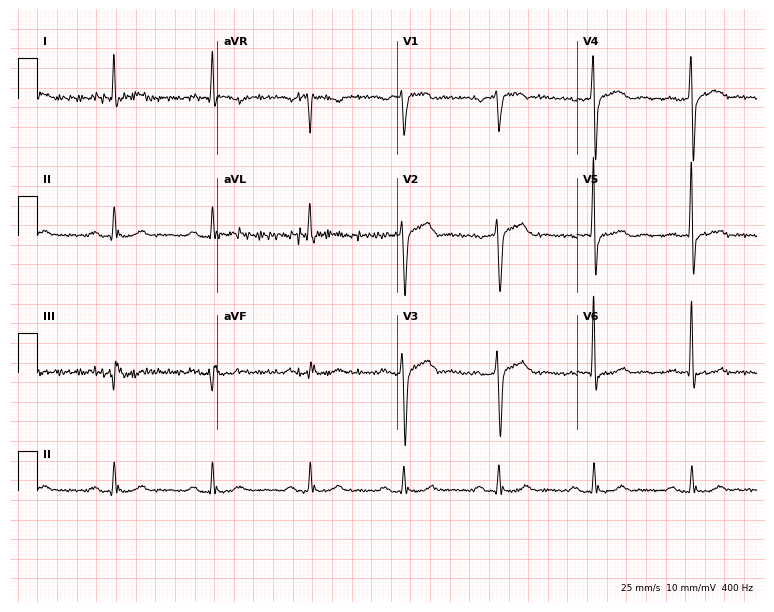
12-lead ECG from a male patient, 74 years old. No first-degree AV block, right bundle branch block (RBBB), left bundle branch block (LBBB), sinus bradycardia, atrial fibrillation (AF) or sinus tachycardia recorded for this tracing. Only these six findings were labelled.